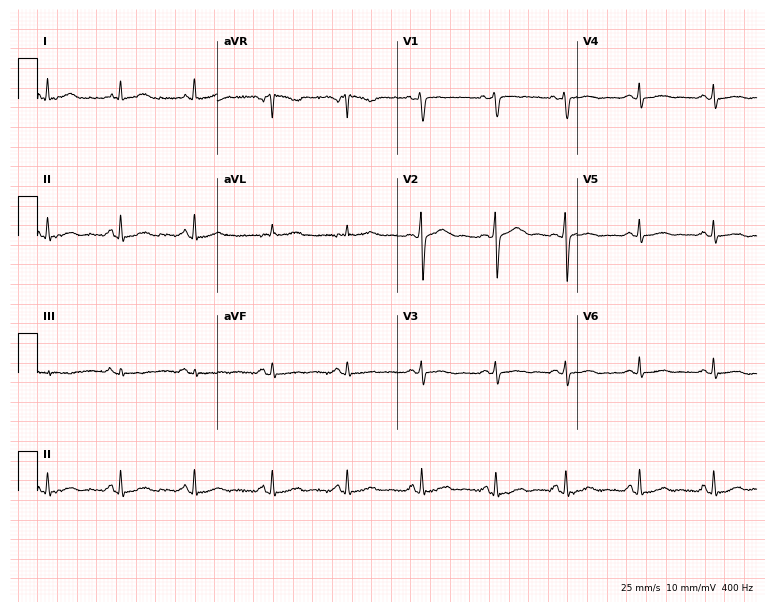
Standard 12-lead ECG recorded from a female, 36 years old. None of these six findings is recorded: first-degree AV block, right bundle branch block (RBBB), left bundle branch block (LBBB), sinus bradycardia, atrial fibrillation (AF), sinus tachycardia. Findings outside these six are not listed.